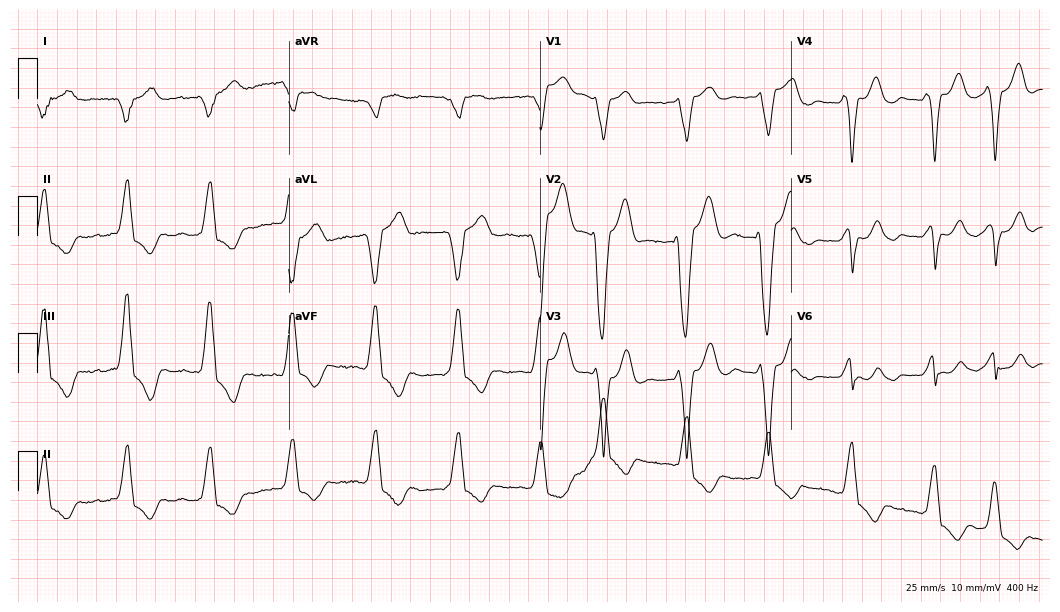
Standard 12-lead ECG recorded from a female patient, 75 years old (10.2-second recording at 400 Hz). None of these six findings is recorded: first-degree AV block, right bundle branch block, left bundle branch block, sinus bradycardia, atrial fibrillation, sinus tachycardia. Only these six findings were labelled.